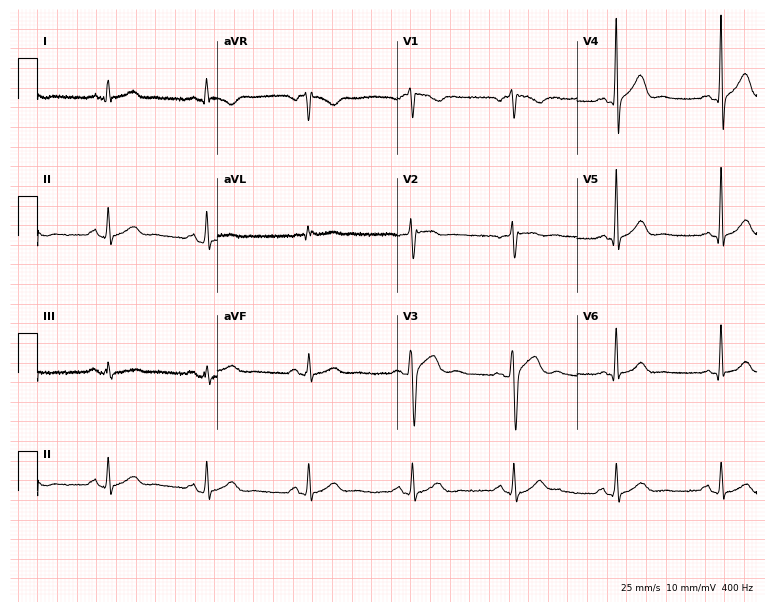
Electrocardiogram (7.3-second recording at 400 Hz), a man, 69 years old. Overall reading on record: normal ECG.